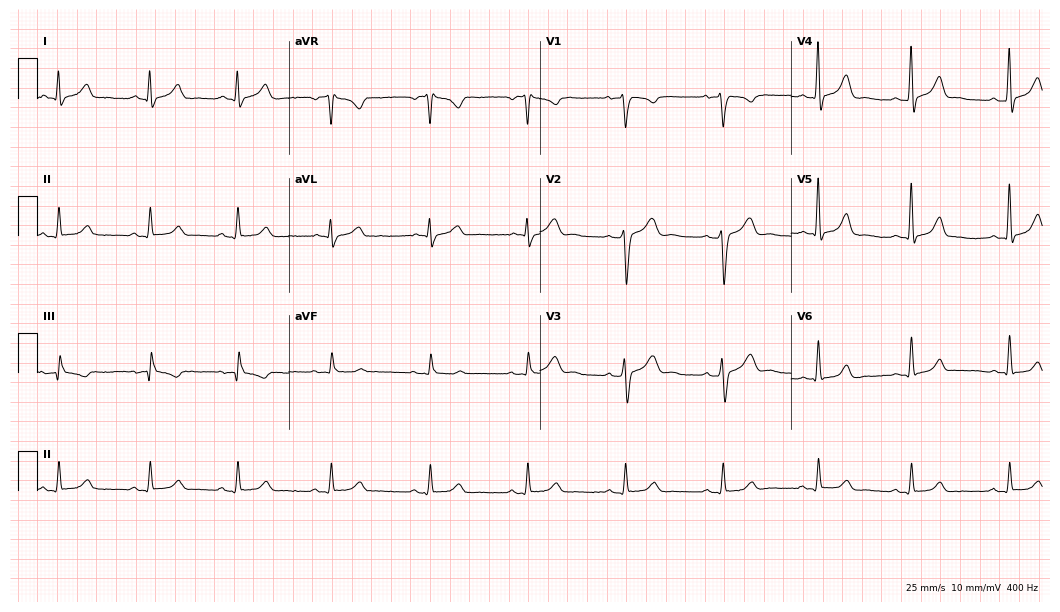
Resting 12-lead electrocardiogram (10.2-second recording at 400 Hz). Patient: a 33-year-old male. None of these six findings is recorded: first-degree AV block, right bundle branch block, left bundle branch block, sinus bradycardia, atrial fibrillation, sinus tachycardia. Other findings, if any, are not listed.